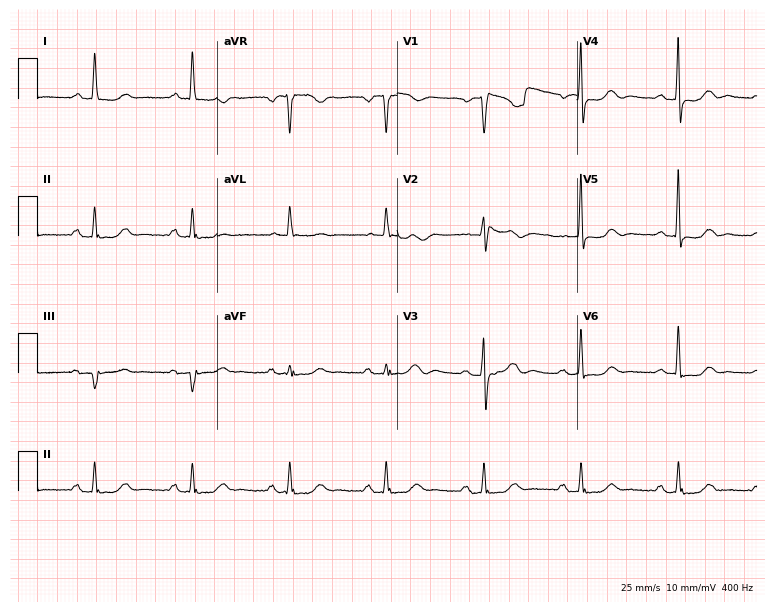
Standard 12-lead ECG recorded from a female patient, 84 years old. None of these six findings is recorded: first-degree AV block, right bundle branch block, left bundle branch block, sinus bradycardia, atrial fibrillation, sinus tachycardia.